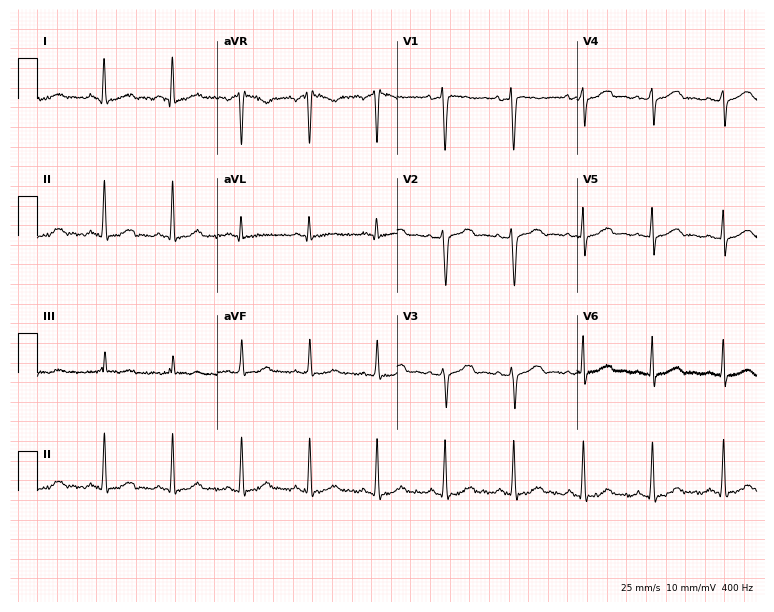
12-lead ECG from a 34-year-old female. No first-degree AV block, right bundle branch block (RBBB), left bundle branch block (LBBB), sinus bradycardia, atrial fibrillation (AF) or sinus tachycardia recorded for this tracing.